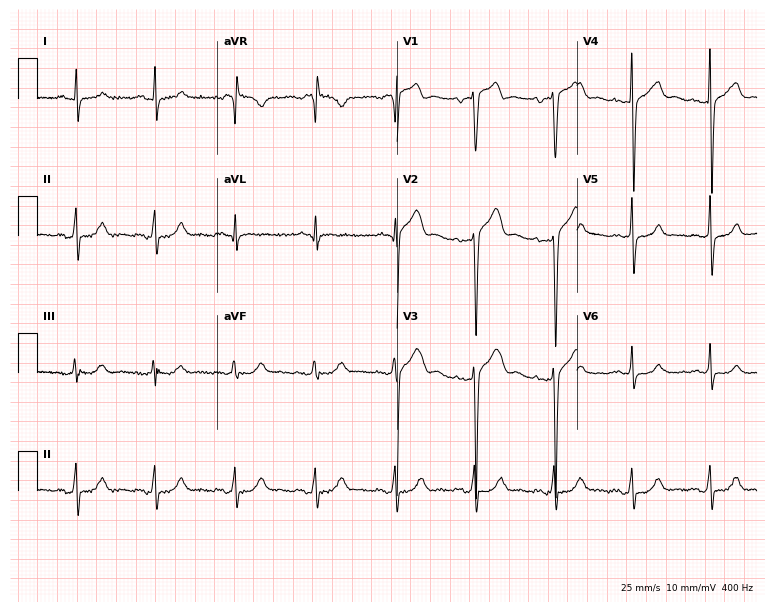
12-lead ECG (7.3-second recording at 400 Hz) from a 55-year-old male patient. Labelled as a normal ECG.